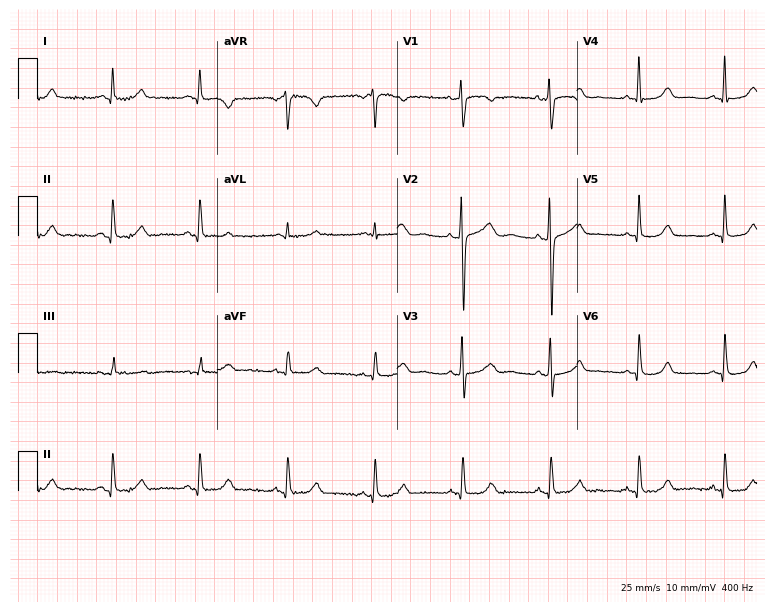
ECG — a female, 45 years old. Screened for six findings — first-degree AV block, right bundle branch block, left bundle branch block, sinus bradycardia, atrial fibrillation, sinus tachycardia — none is recorded. Findings outside these six are not listed.